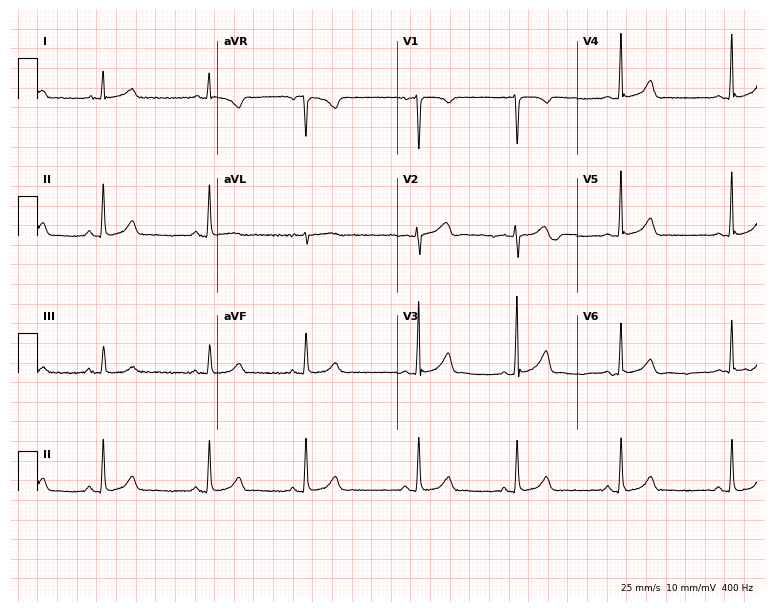
Electrocardiogram (7.3-second recording at 400 Hz), a 17-year-old woman. Overall reading on record: normal ECG.